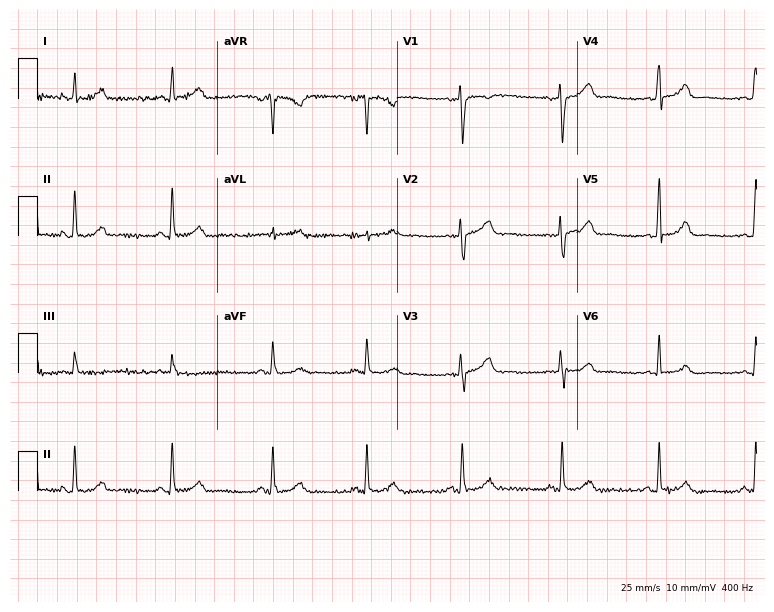
Electrocardiogram (7.3-second recording at 400 Hz), a woman, 42 years old. Overall reading on record: normal ECG.